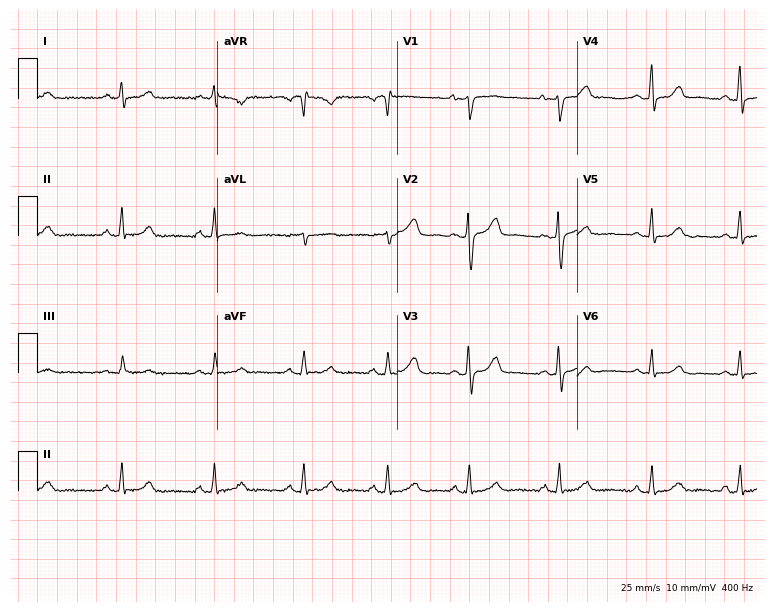
ECG — a female patient, 48 years old. Screened for six findings — first-degree AV block, right bundle branch block, left bundle branch block, sinus bradycardia, atrial fibrillation, sinus tachycardia — none is recorded. Other findings, if any, are not listed.